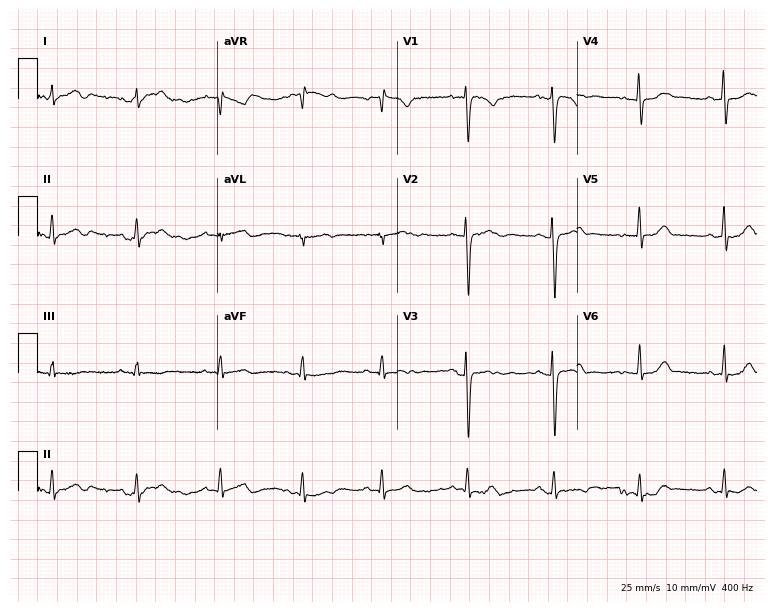
Resting 12-lead electrocardiogram. Patient: a woman, 23 years old. None of these six findings is recorded: first-degree AV block, right bundle branch block, left bundle branch block, sinus bradycardia, atrial fibrillation, sinus tachycardia. Other findings, if any, are not listed.